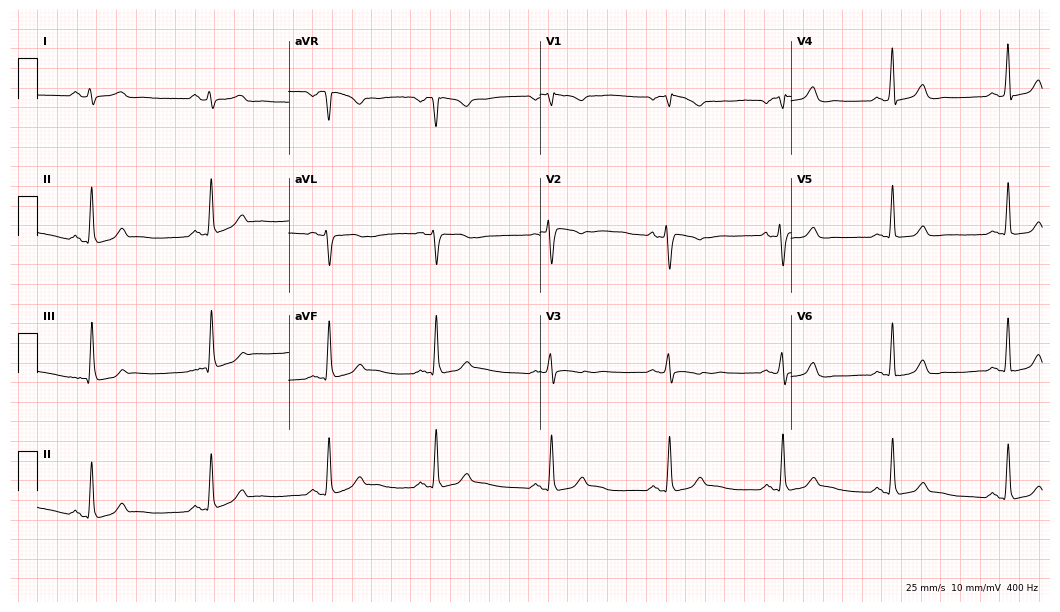
Electrocardiogram, a 29-year-old woman. Of the six screened findings (first-degree AV block, right bundle branch block, left bundle branch block, sinus bradycardia, atrial fibrillation, sinus tachycardia), none is recorded. Findings outside these six are not listed.